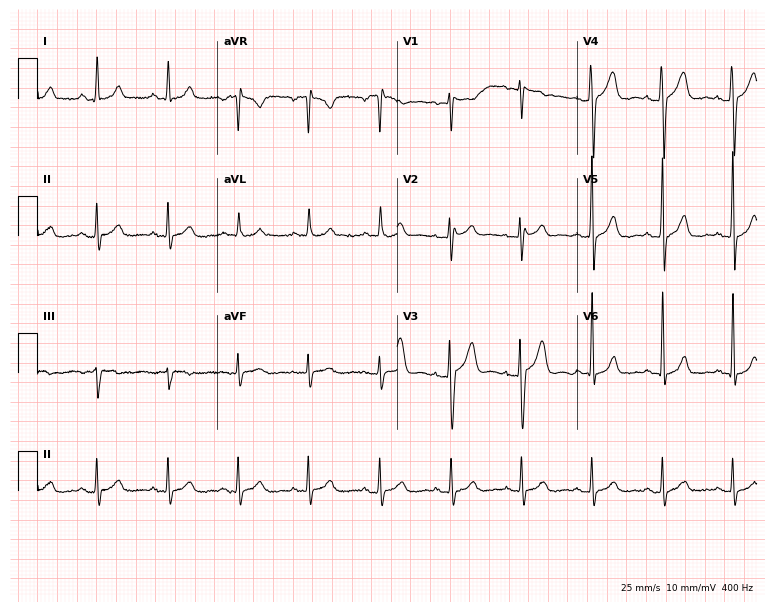
ECG (7.3-second recording at 400 Hz) — a man, 38 years old. Labelled as a normal ECG.